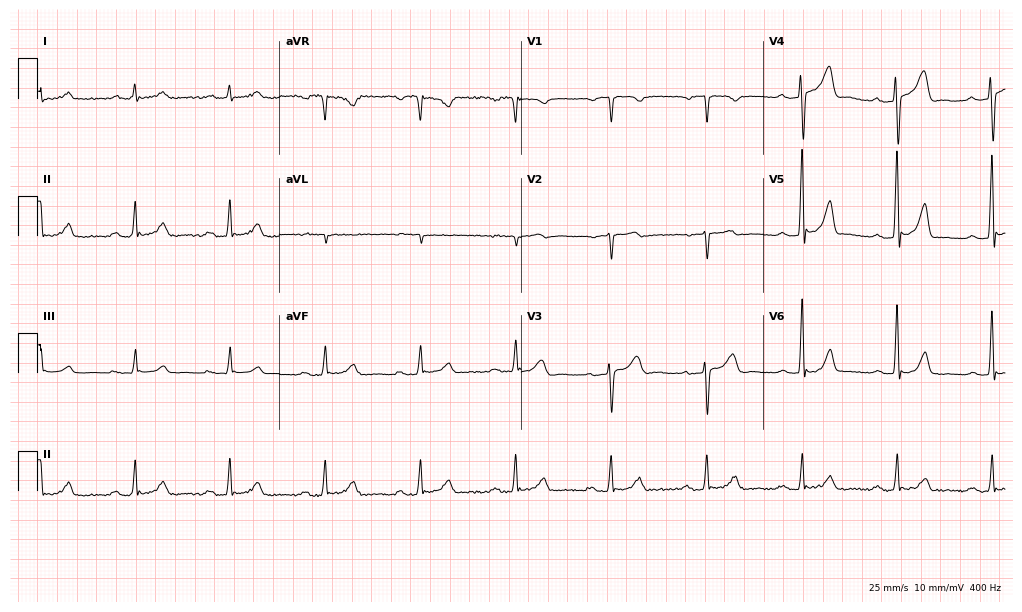
12-lead ECG from a 56-year-old male patient. Findings include first-degree AV block.